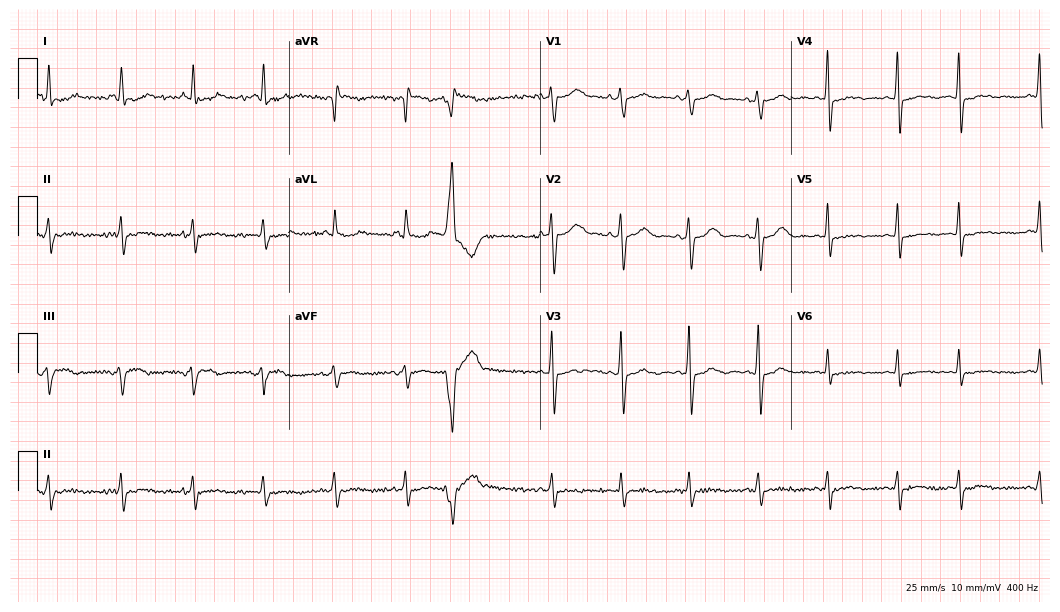
Standard 12-lead ECG recorded from a 67-year-old woman (10.2-second recording at 400 Hz). None of these six findings is recorded: first-degree AV block, right bundle branch block (RBBB), left bundle branch block (LBBB), sinus bradycardia, atrial fibrillation (AF), sinus tachycardia. Only these six findings were labelled.